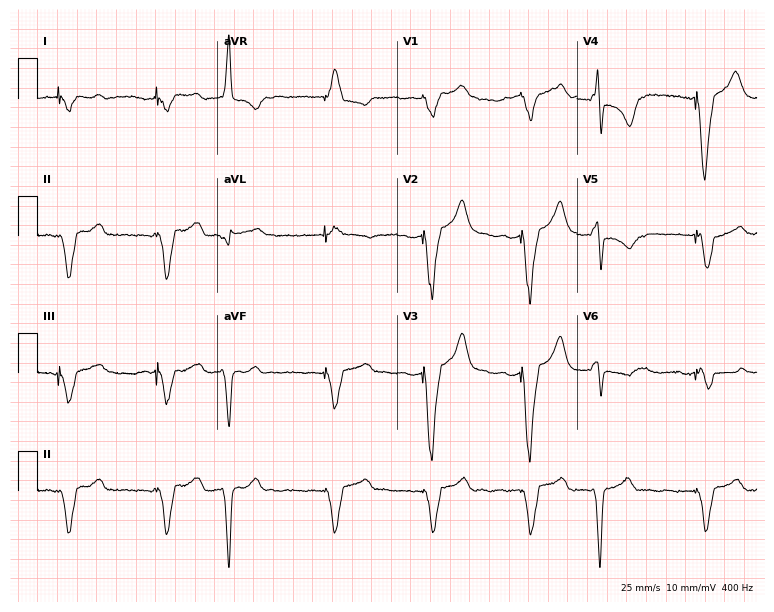
Standard 12-lead ECG recorded from a 77-year-old man. None of these six findings is recorded: first-degree AV block, right bundle branch block, left bundle branch block, sinus bradycardia, atrial fibrillation, sinus tachycardia.